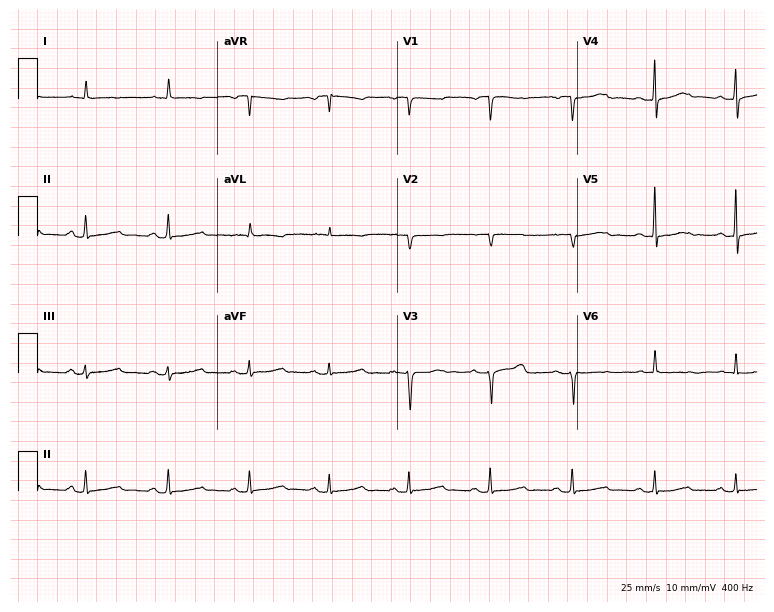
Resting 12-lead electrocardiogram. Patient: a female, 81 years old. None of these six findings is recorded: first-degree AV block, right bundle branch block, left bundle branch block, sinus bradycardia, atrial fibrillation, sinus tachycardia. Only these six findings were labelled.